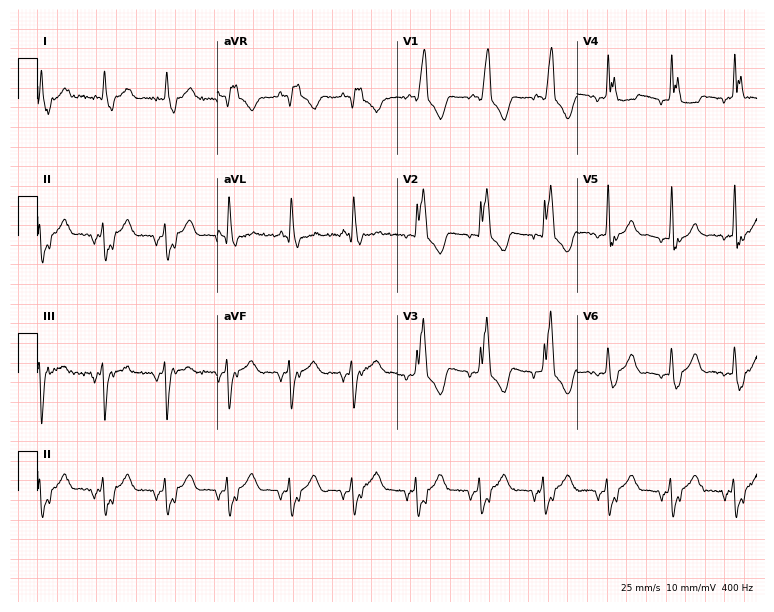
12-lead ECG from a 60-year-old woman. Shows right bundle branch block.